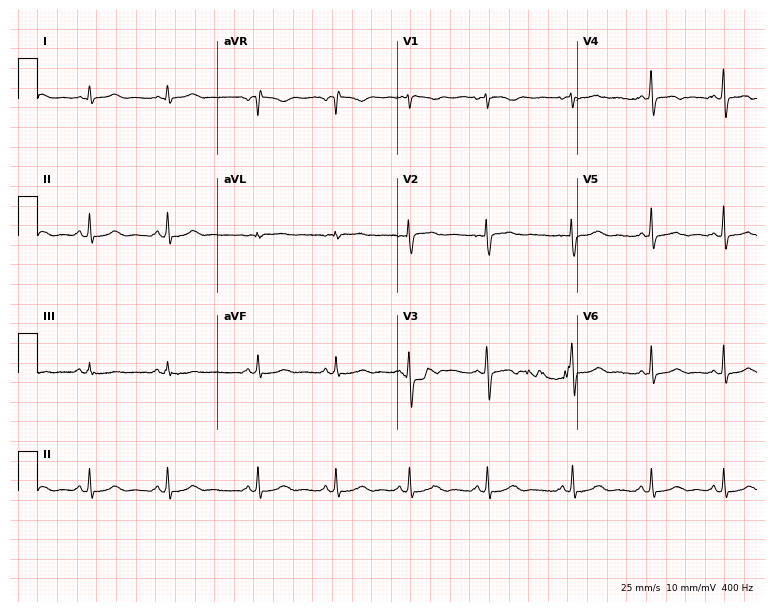
12-lead ECG from a 19-year-old woman (7.3-second recording at 400 Hz). Recorded interpretation: within normal limits.